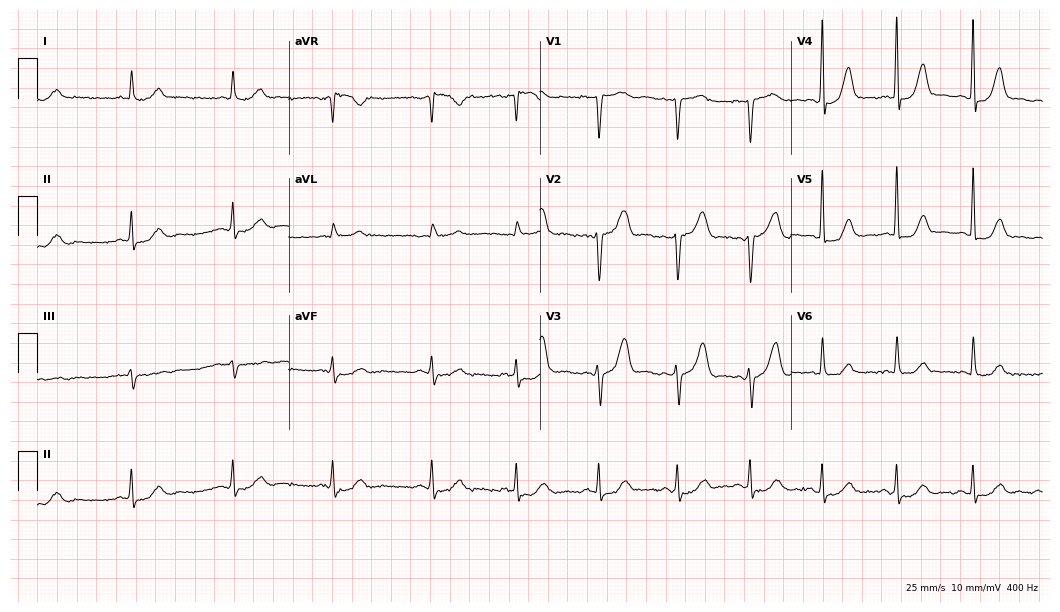
Standard 12-lead ECG recorded from a 66-year-old male. Read as a normal ECG.